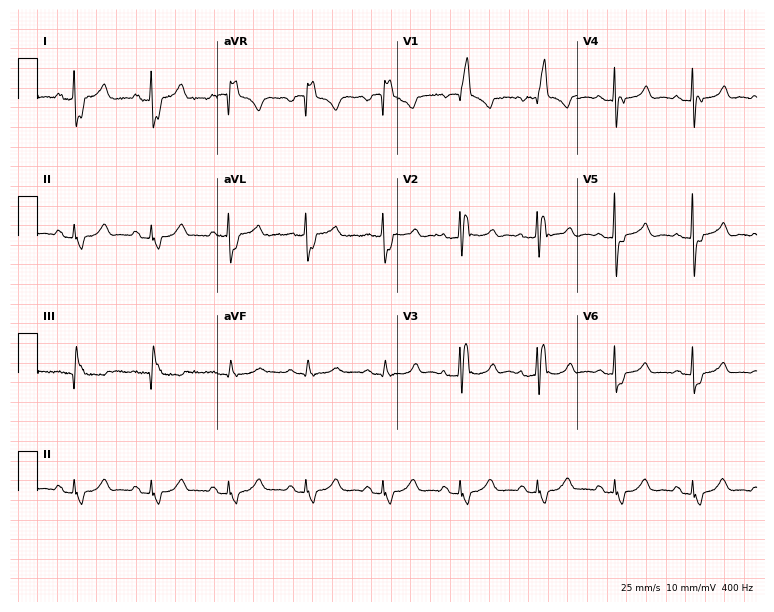
12-lead ECG from a woman, 79 years old (7.3-second recording at 400 Hz). Shows right bundle branch block.